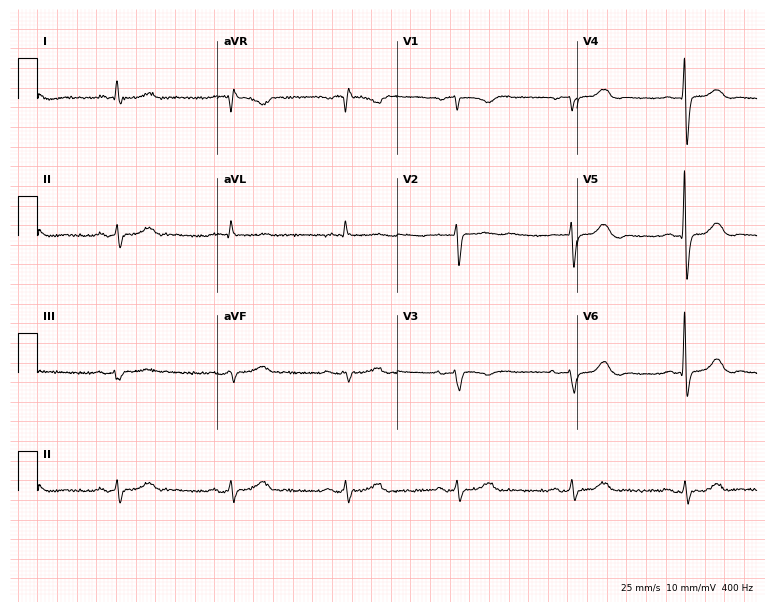
Resting 12-lead electrocardiogram. Patient: a 75-year-old male. None of these six findings is recorded: first-degree AV block, right bundle branch block (RBBB), left bundle branch block (LBBB), sinus bradycardia, atrial fibrillation (AF), sinus tachycardia. Only these six findings were labelled.